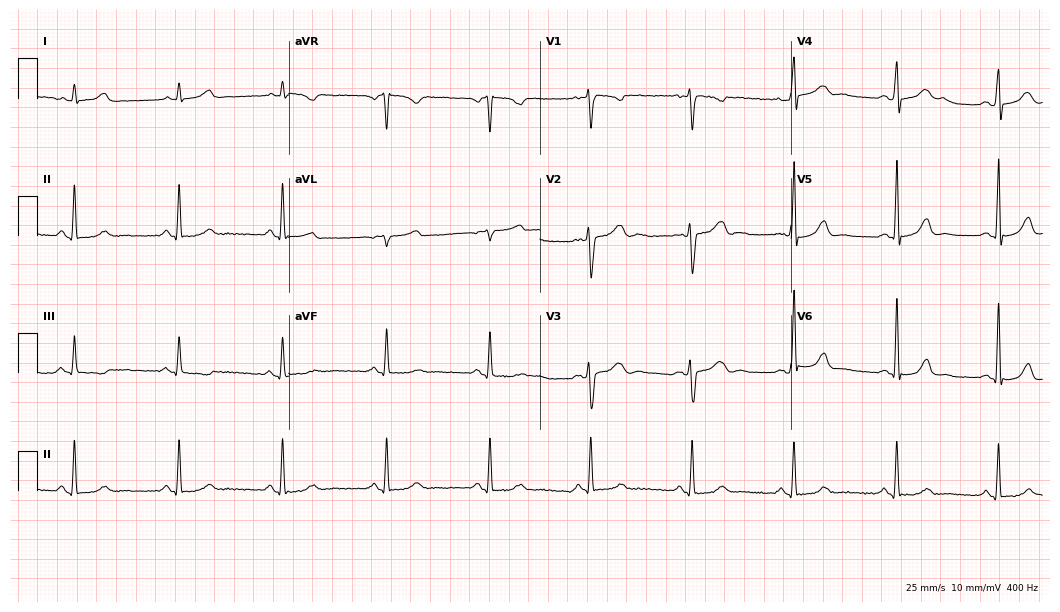
12-lead ECG from a 48-year-old female. Recorded interpretation: within normal limits.